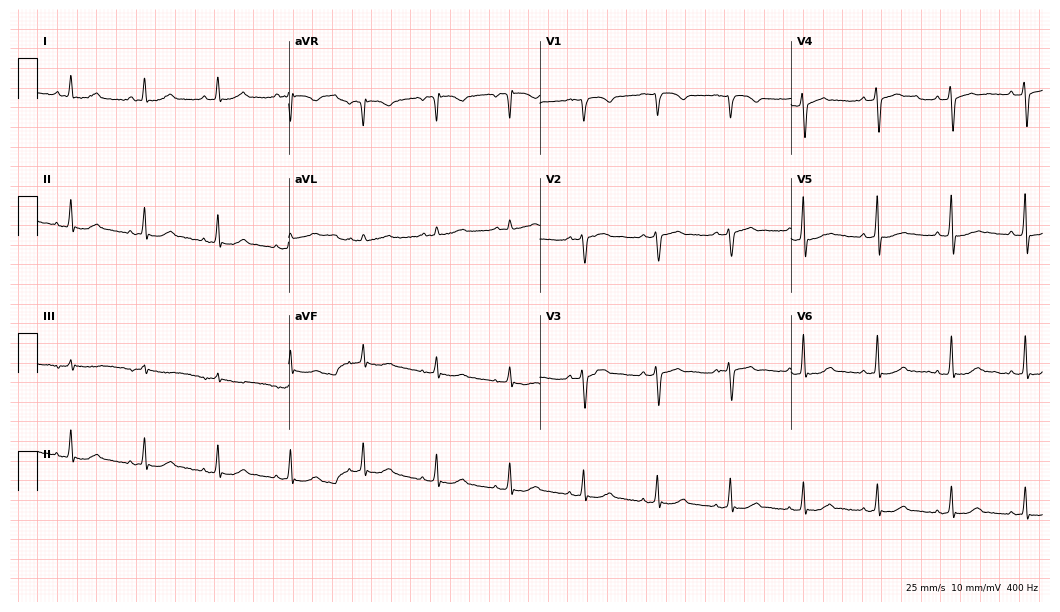
ECG (10.2-second recording at 400 Hz) — a man, 63 years old. Labelled as a normal ECG.